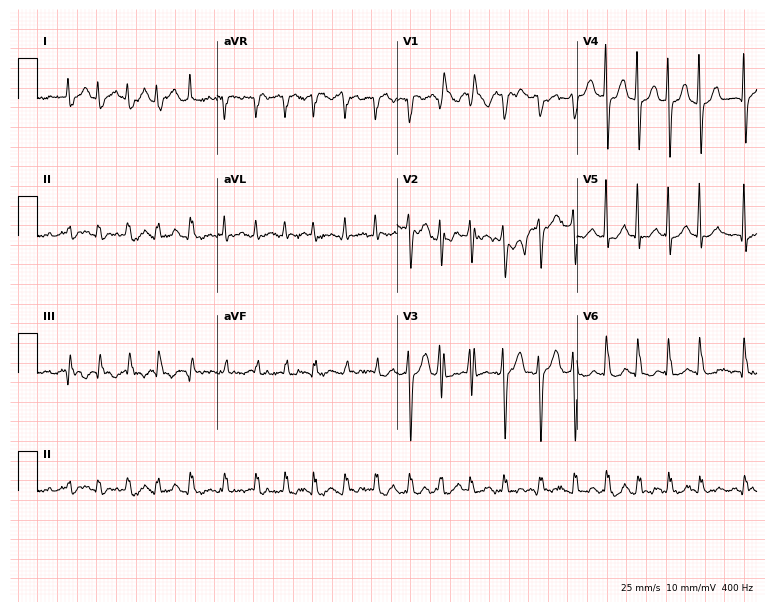
ECG (7.3-second recording at 400 Hz) — a male patient, 85 years old. Findings include atrial fibrillation.